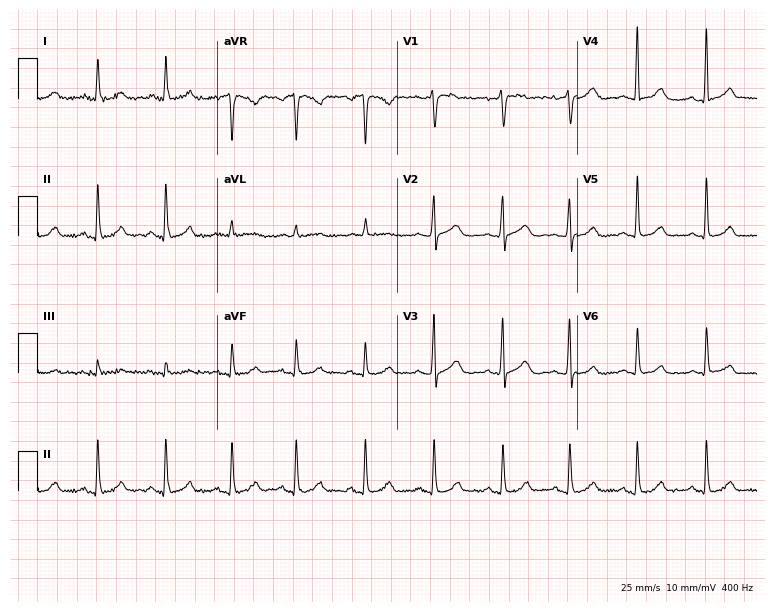
Resting 12-lead electrocardiogram (7.3-second recording at 400 Hz). Patient: a 65-year-old female. Read as a normal ECG.